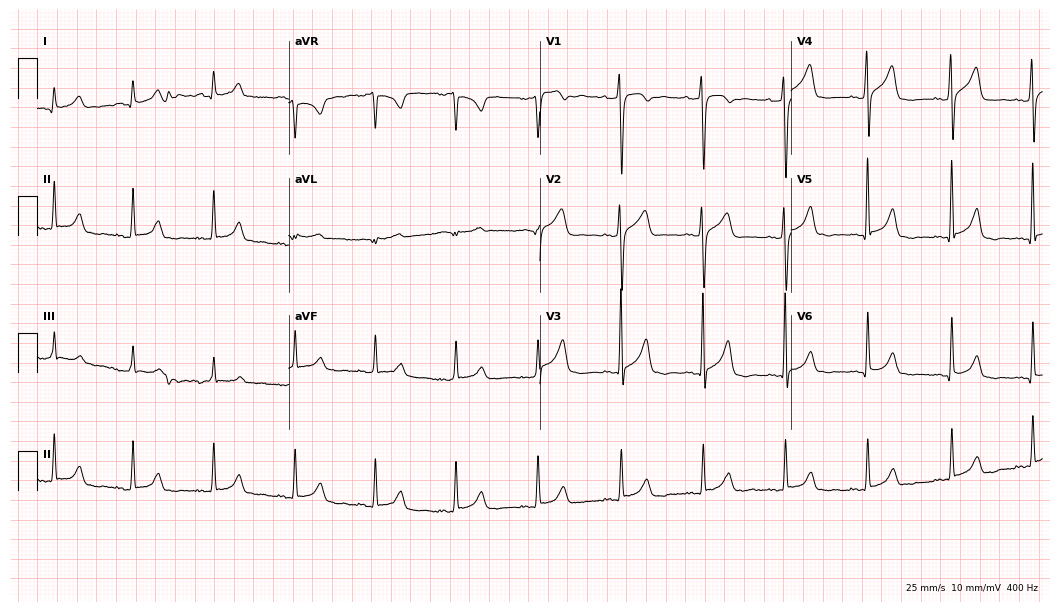
Resting 12-lead electrocardiogram (10.2-second recording at 400 Hz). Patient: a 32-year-old man. None of these six findings is recorded: first-degree AV block, right bundle branch block, left bundle branch block, sinus bradycardia, atrial fibrillation, sinus tachycardia. Other findings, if any, are not listed.